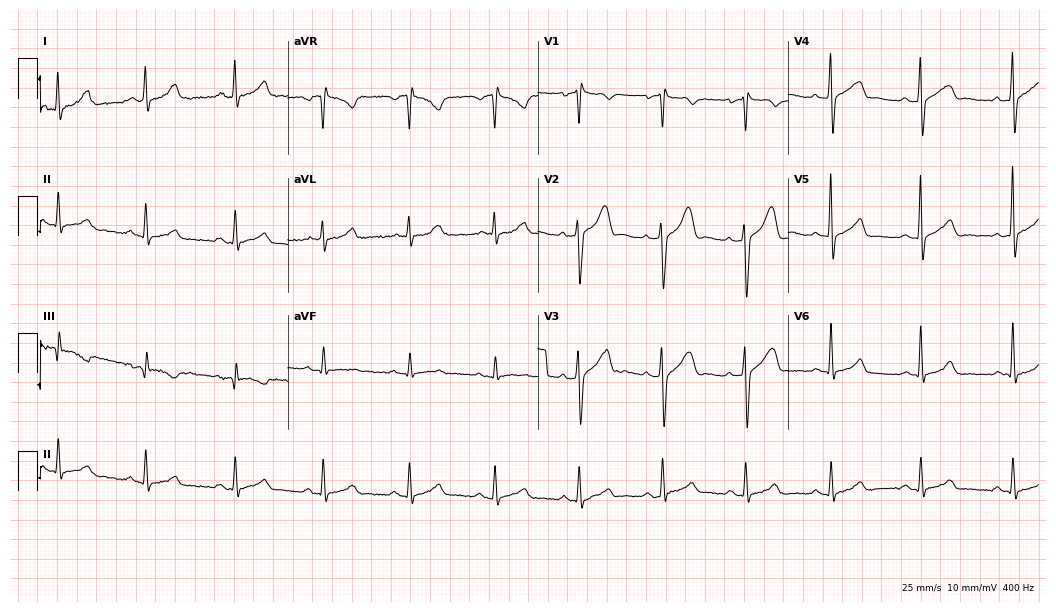
Standard 12-lead ECG recorded from a male patient, 40 years old (10.2-second recording at 400 Hz). Read as a normal ECG.